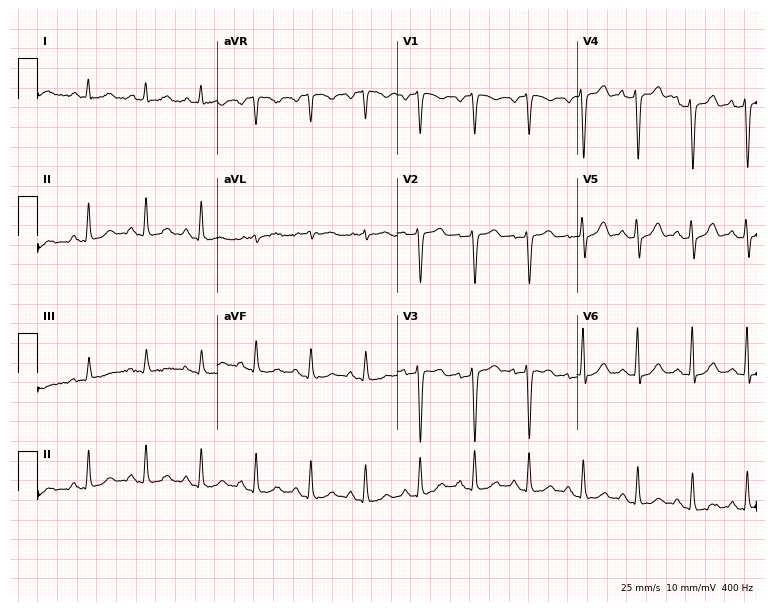
ECG (7.3-second recording at 400 Hz) — a male patient, 56 years old. Findings include sinus tachycardia (a sinus rate of 100 beats per minute or more).